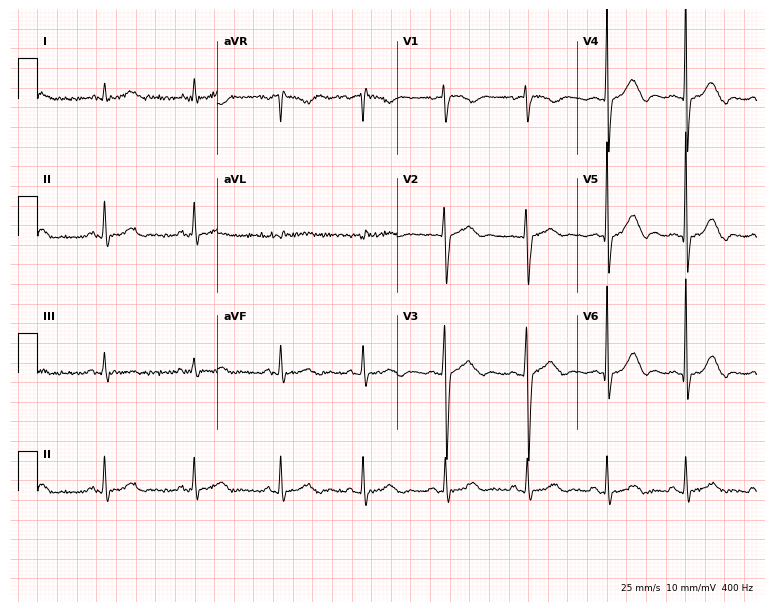
ECG (7.3-second recording at 400 Hz) — a male, 53 years old. Screened for six findings — first-degree AV block, right bundle branch block, left bundle branch block, sinus bradycardia, atrial fibrillation, sinus tachycardia — none is recorded. Findings outside these six are not listed.